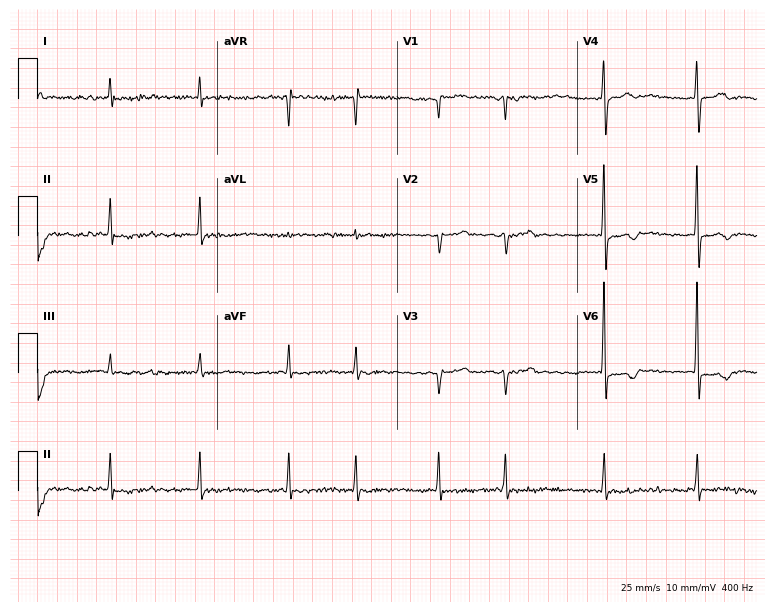
Resting 12-lead electrocardiogram (7.3-second recording at 400 Hz). Patient: a 72-year-old female. The tracing shows atrial fibrillation.